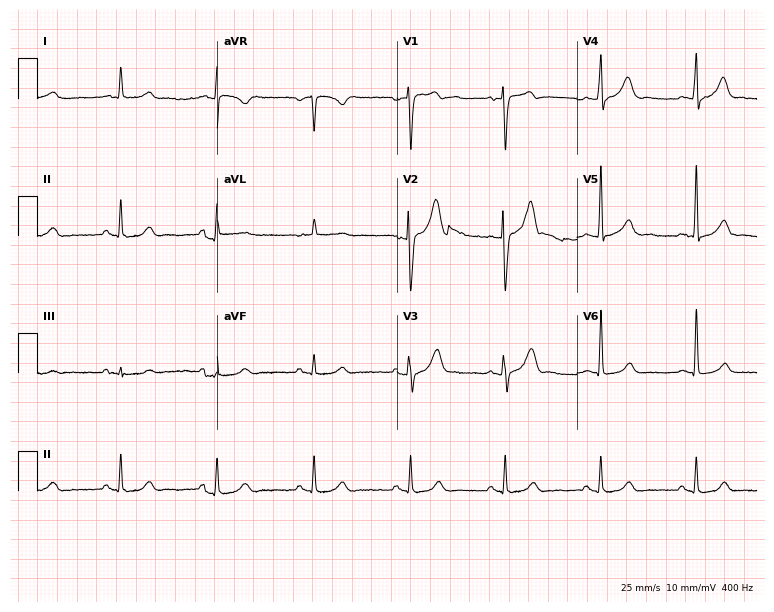
Electrocardiogram (7.3-second recording at 400 Hz), a 73-year-old male. Overall reading on record: normal ECG.